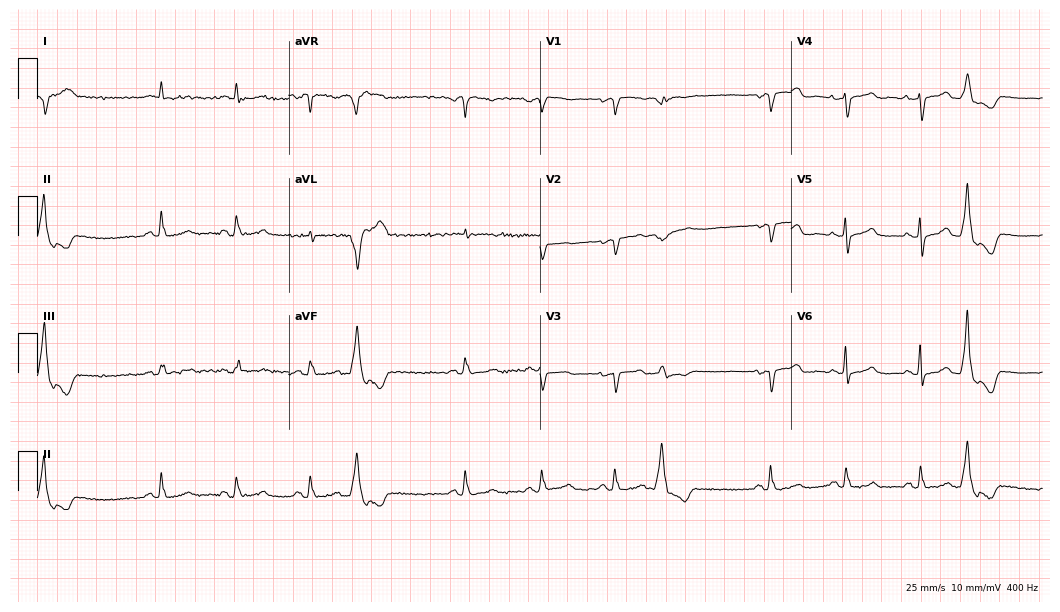
12-lead ECG from a female patient, 68 years old. Screened for six findings — first-degree AV block, right bundle branch block, left bundle branch block, sinus bradycardia, atrial fibrillation, sinus tachycardia — none is recorded.